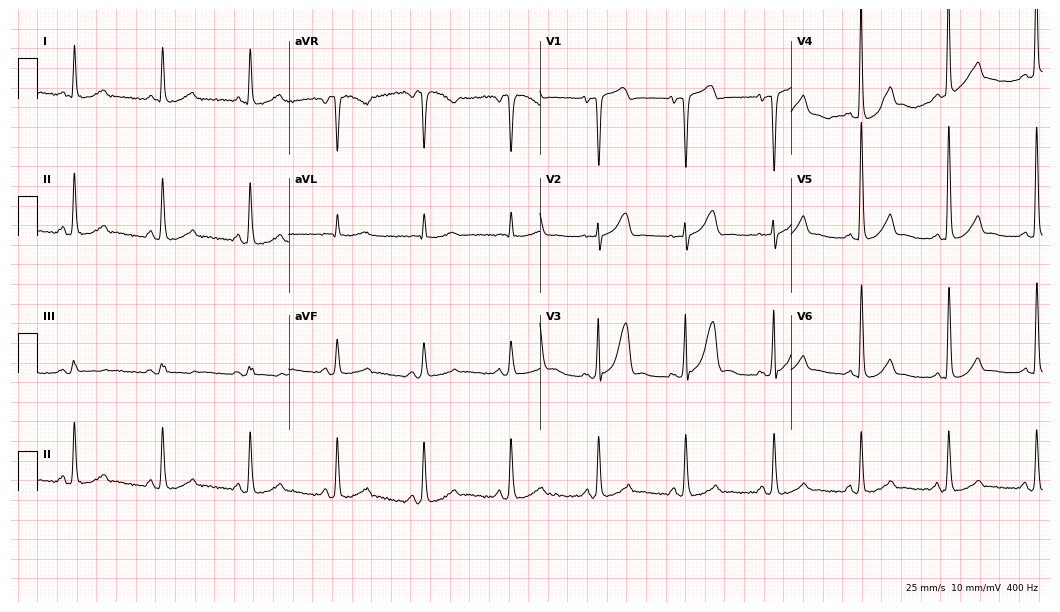
Resting 12-lead electrocardiogram. Patient: a 72-year-old female. Read as a normal ECG.